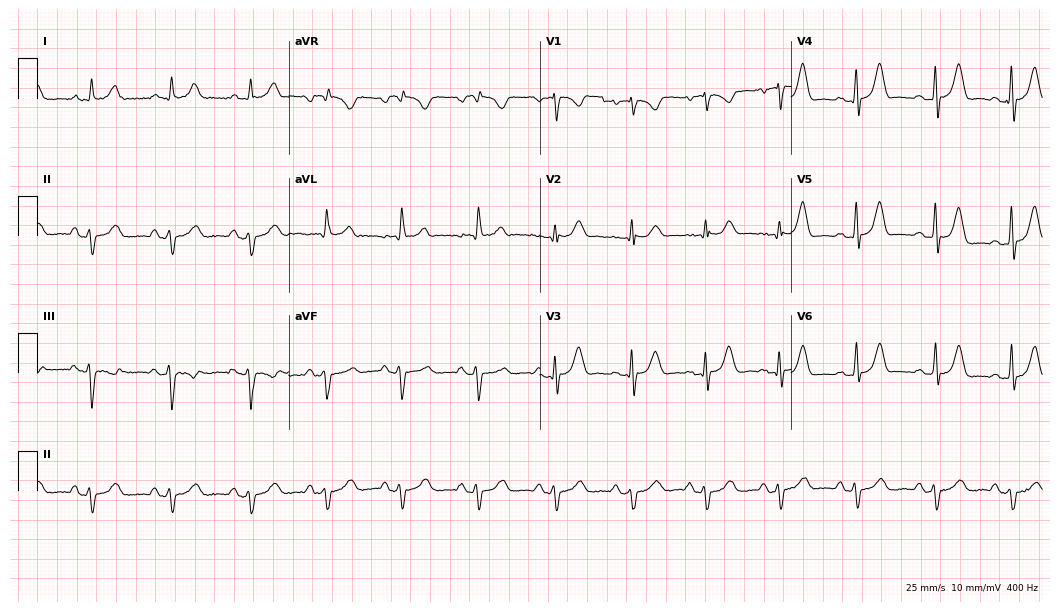
12-lead ECG from a male, 46 years old. Screened for six findings — first-degree AV block, right bundle branch block, left bundle branch block, sinus bradycardia, atrial fibrillation, sinus tachycardia — none is recorded. Only these six findings were labelled.